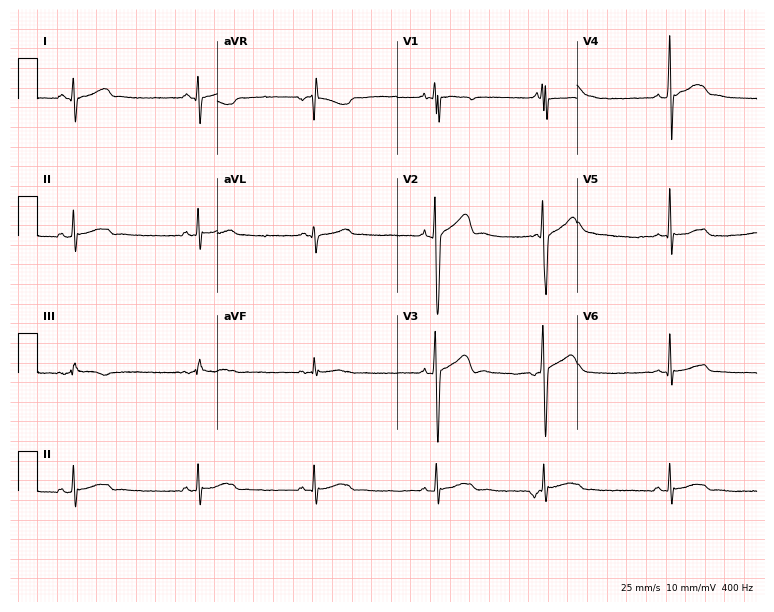
12-lead ECG from a 17-year-old male patient. Recorded interpretation: within normal limits.